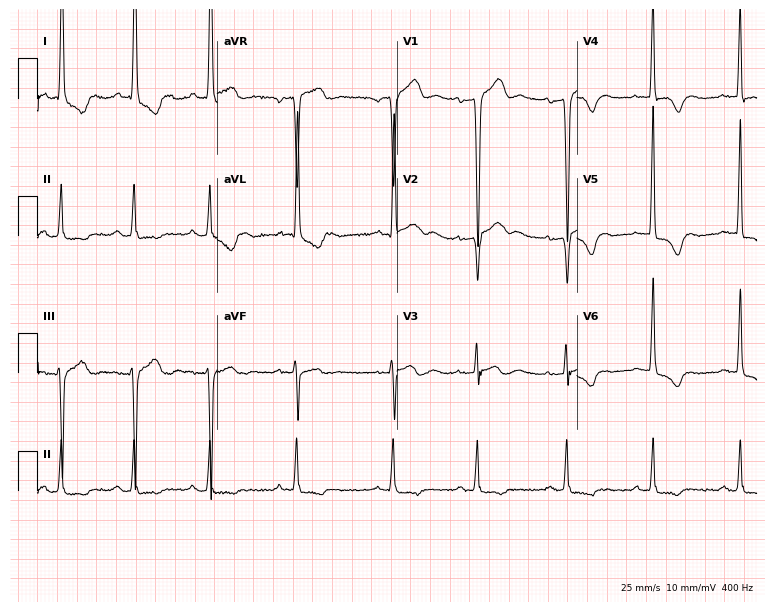
12-lead ECG from a 78-year-old female (7.3-second recording at 400 Hz). No first-degree AV block, right bundle branch block, left bundle branch block, sinus bradycardia, atrial fibrillation or sinus tachycardia recorded for this tracing. Other findings, if any, are not listed.